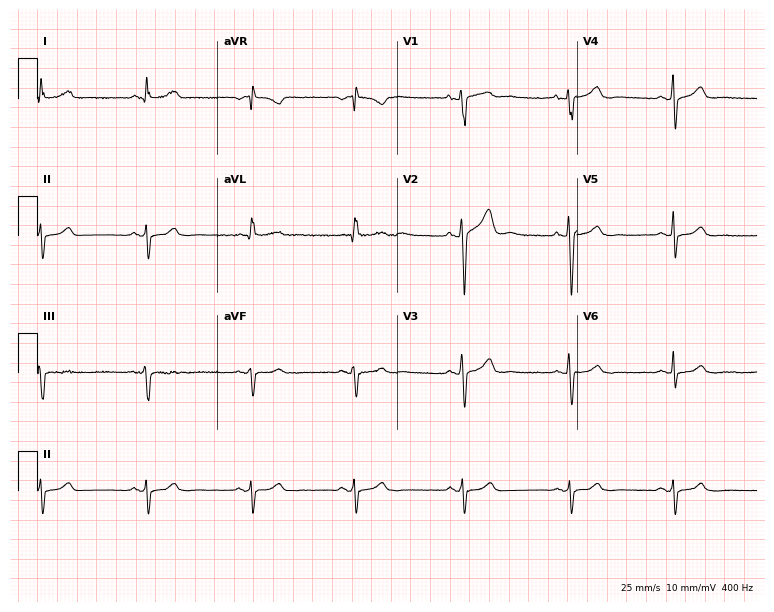
12-lead ECG (7.3-second recording at 400 Hz) from a 49-year-old man. Screened for six findings — first-degree AV block, right bundle branch block (RBBB), left bundle branch block (LBBB), sinus bradycardia, atrial fibrillation (AF), sinus tachycardia — none is recorded. Findings outside these six are not listed.